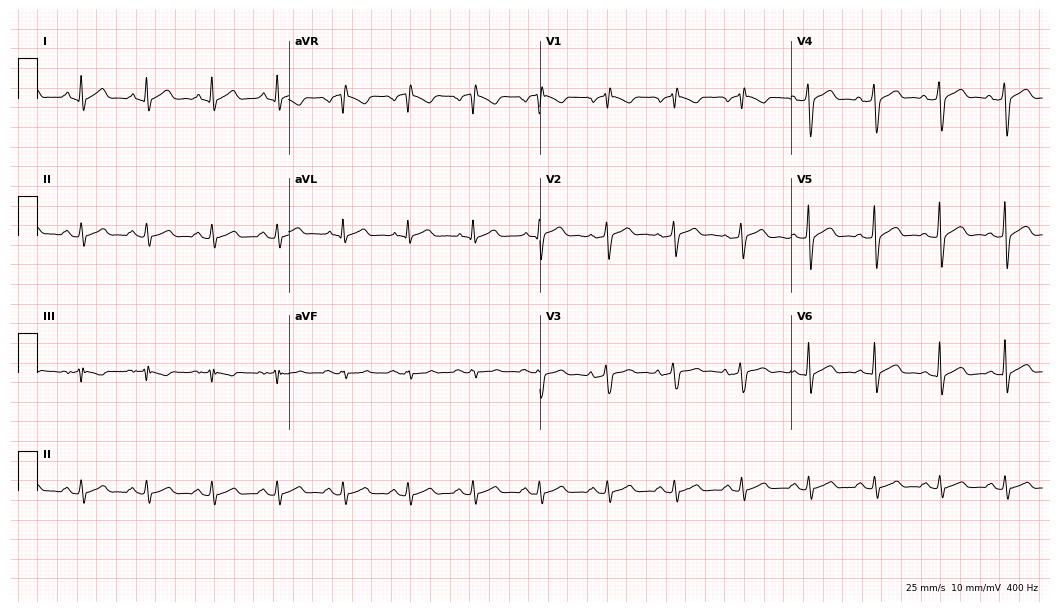
Electrocardiogram, a 54-year-old male. Of the six screened findings (first-degree AV block, right bundle branch block, left bundle branch block, sinus bradycardia, atrial fibrillation, sinus tachycardia), none is recorded. Other findings, if any, are not listed.